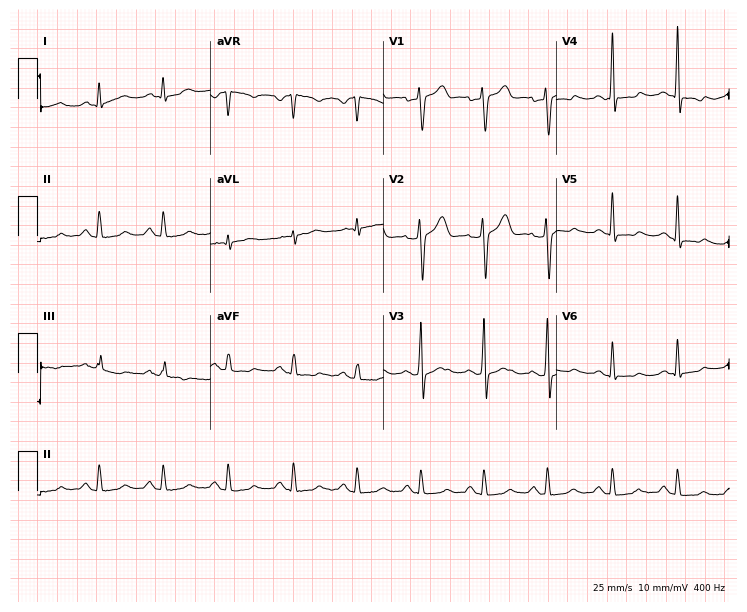
ECG — a male, 50 years old. Screened for six findings — first-degree AV block, right bundle branch block, left bundle branch block, sinus bradycardia, atrial fibrillation, sinus tachycardia — none is recorded.